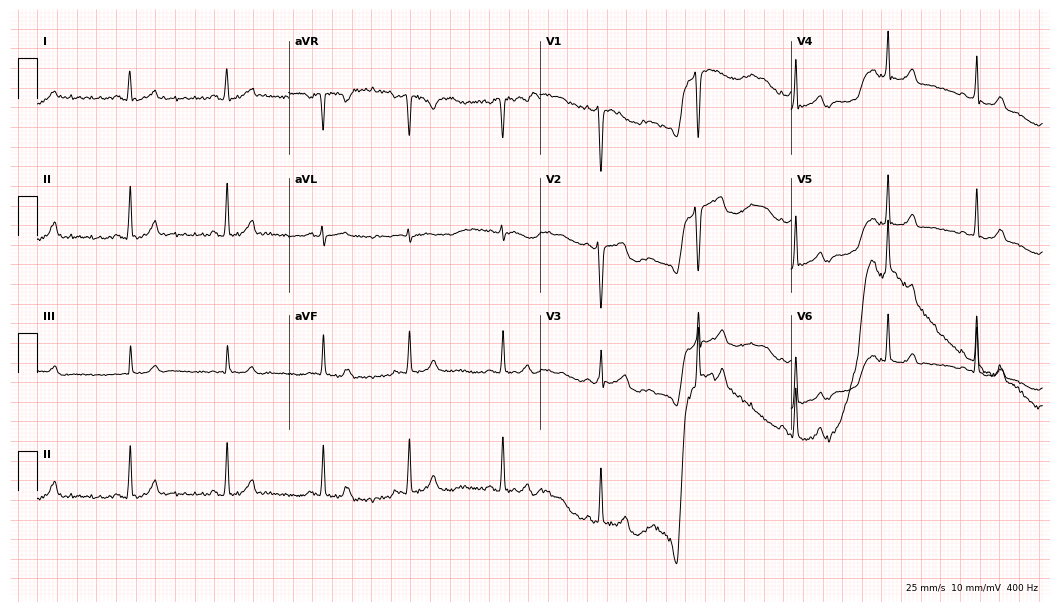
Electrocardiogram, a 21-year-old female patient. Overall reading on record: normal ECG.